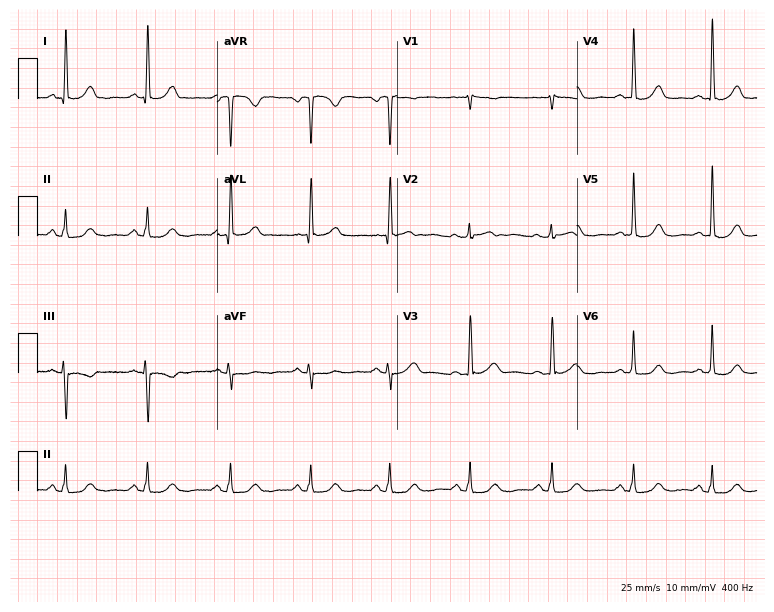
12-lead ECG from a female patient, 41 years old (7.3-second recording at 400 Hz). Recorded interpretation: within normal limits.